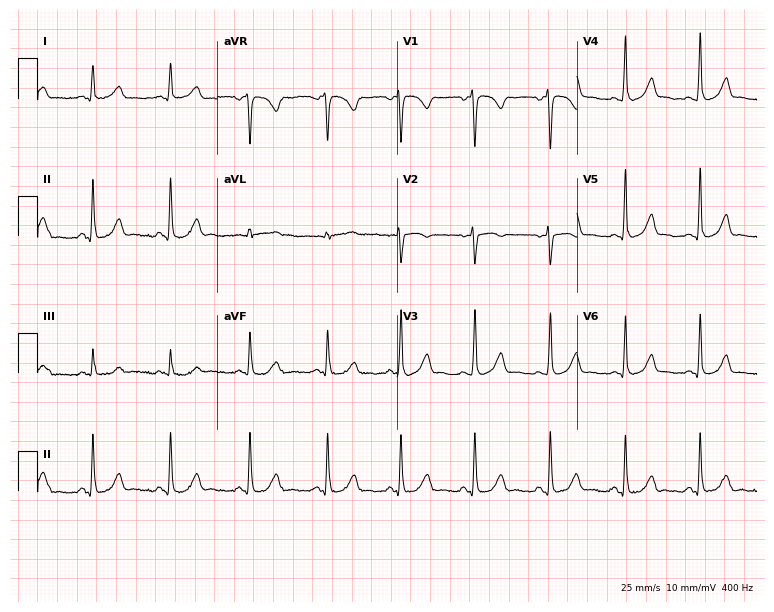
12-lead ECG from a 33-year-old female. Recorded interpretation: within normal limits.